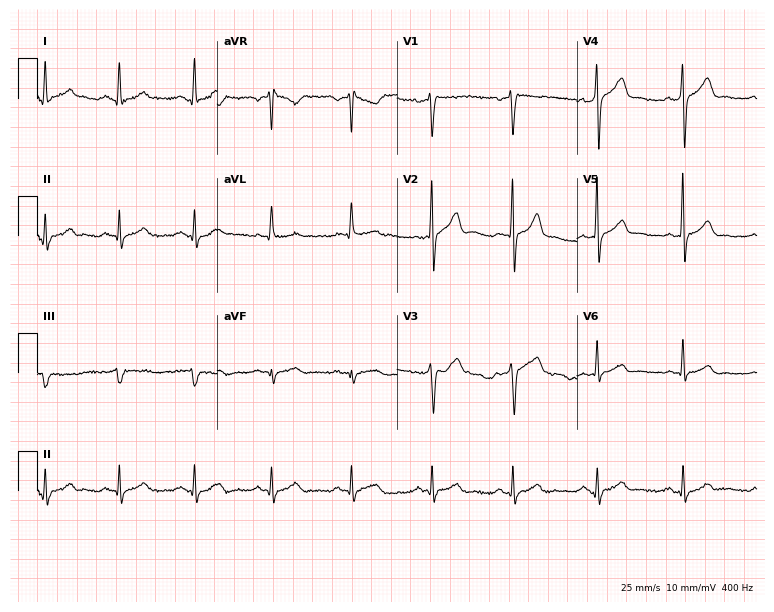
12-lead ECG from a 45-year-old male. Recorded interpretation: within normal limits.